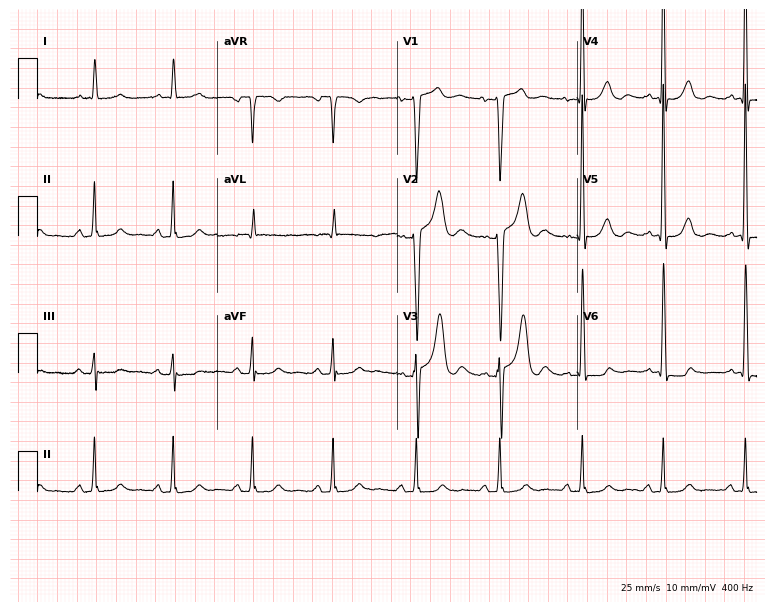
12-lead ECG (7.3-second recording at 400 Hz) from a 57-year-old male. Screened for six findings — first-degree AV block, right bundle branch block (RBBB), left bundle branch block (LBBB), sinus bradycardia, atrial fibrillation (AF), sinus tachycardia — none is recorded. Only these six findings were labelled.